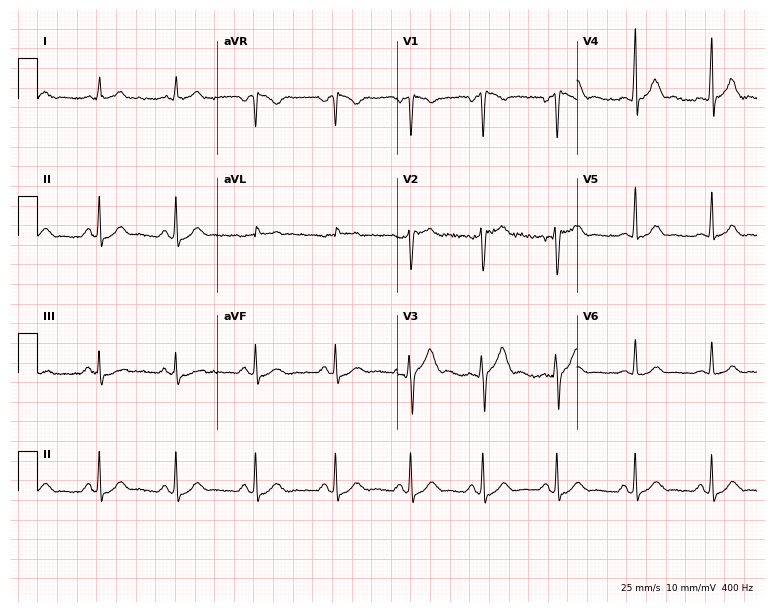
12-lead ECG (7.3-second recording at 400 Hz) from a male, 30 years old. Labelled as a normal ECG.